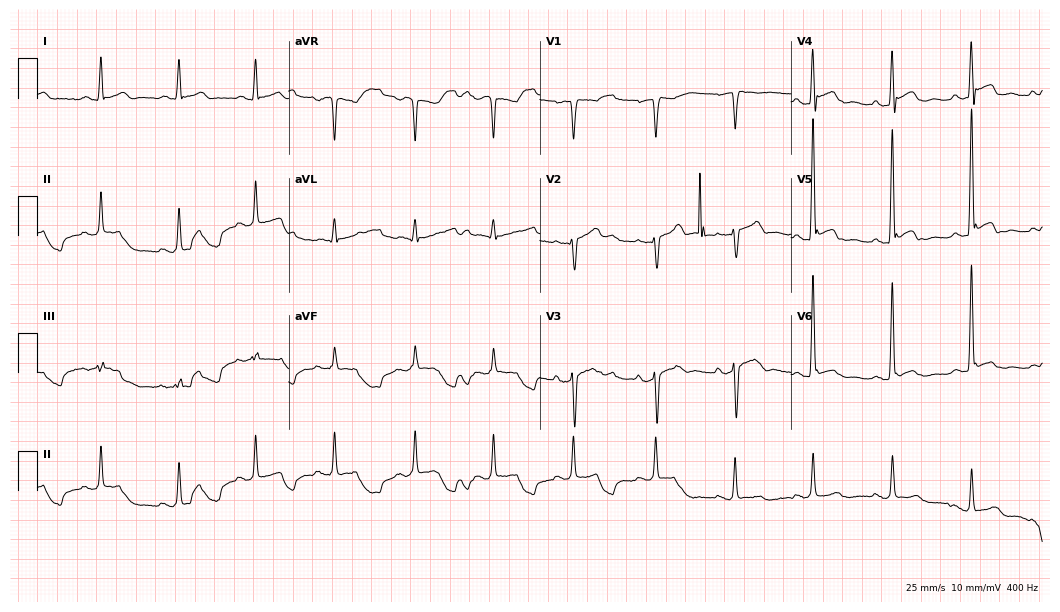
Electrocardiogram (10.2-second recording at 400 Hz), a man, 57 years old. Of the six screened findings (first-degree AV block, right bundle branch block (RBBB), left bundle branch block (LBBB), sinus bradycardia, atrial fibrillation (AF), sinus tachycardia), none is recorded.